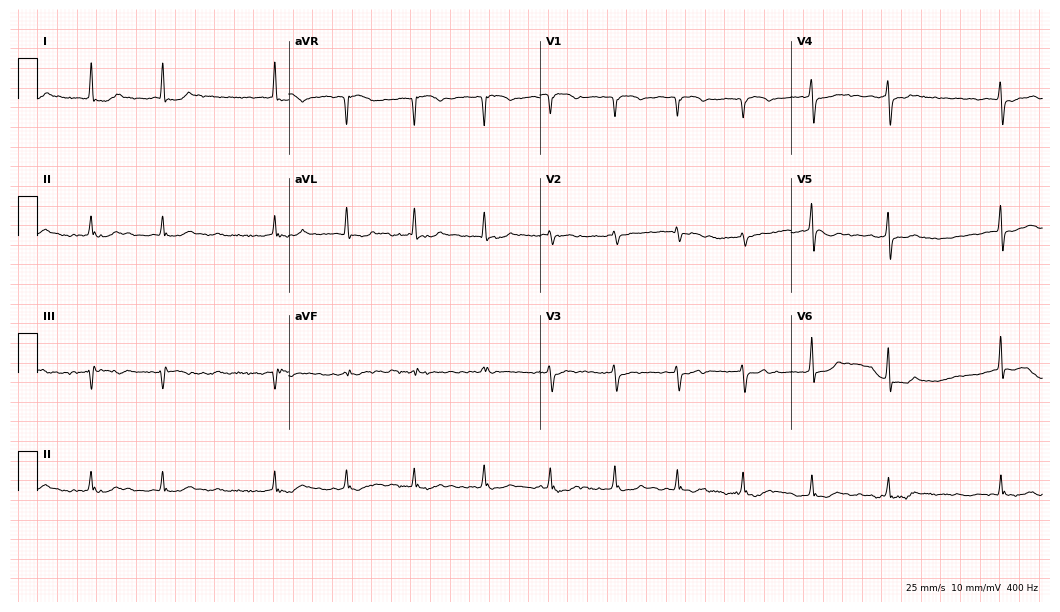
12-lead ECG from a female patient, 74 years old. Findings include atrial fibrillation.